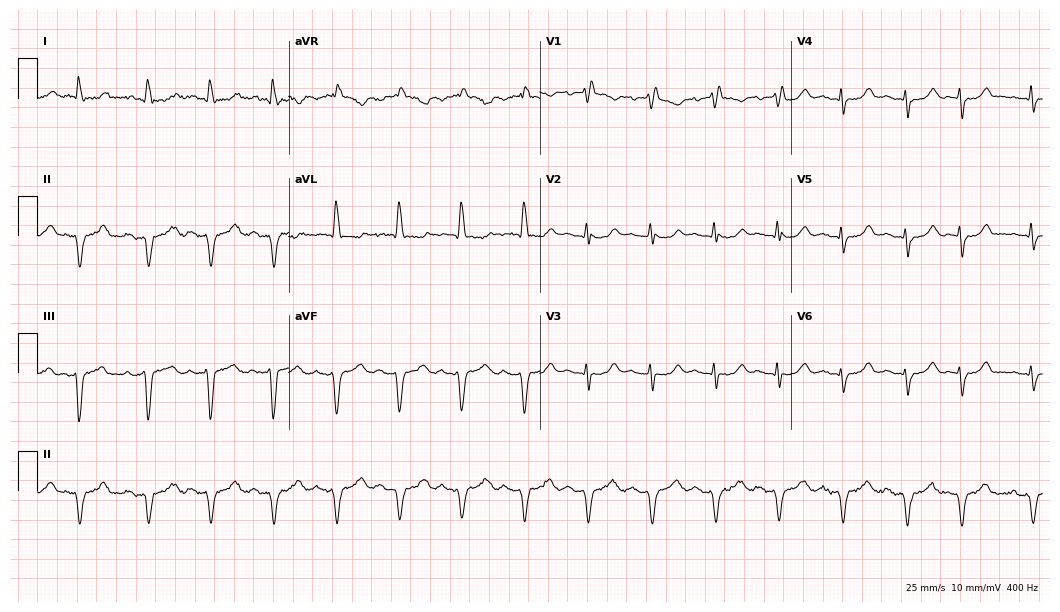
Electrocardiogram, an 83-year-old woman. Interpretation includes right bundle branch block (RBBB).